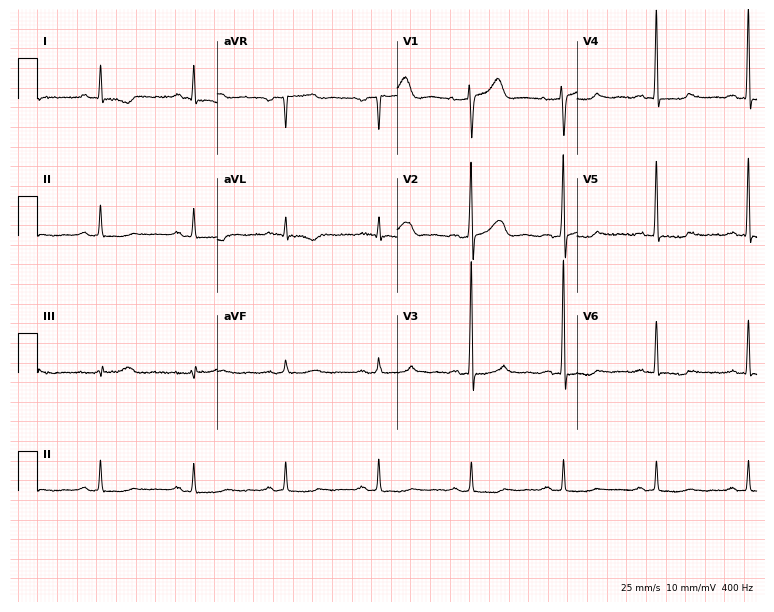
Resting 12-lead electrocardiogram. Patient: a male, 64 years old. Read as a normal ECG.